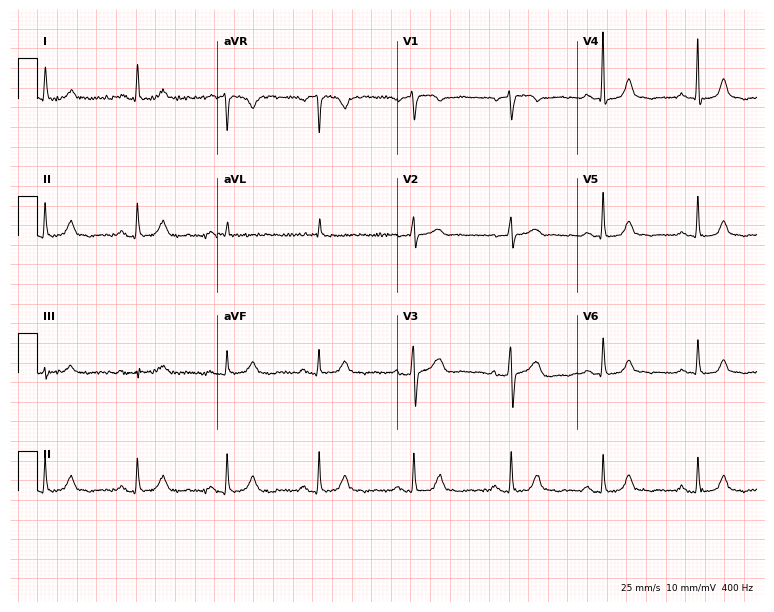
12-lead ECG from a female, 66 years old. Labelled as a normal ECG.